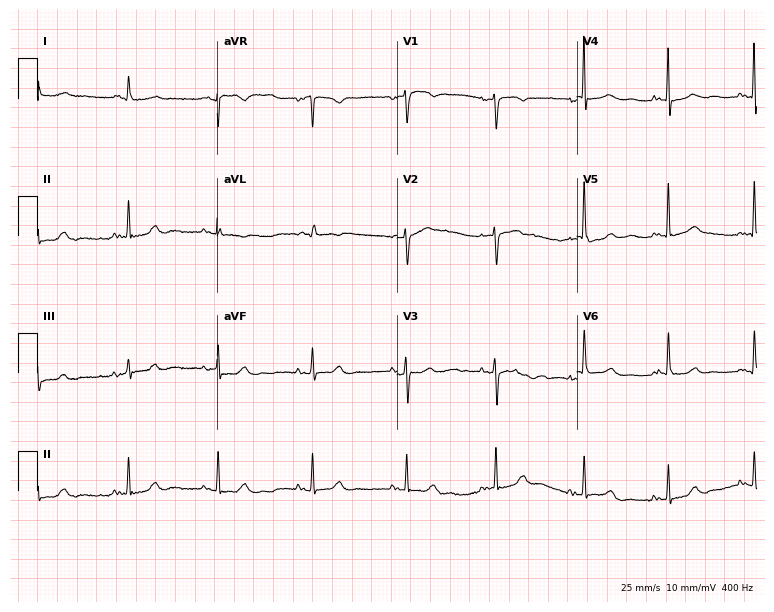
12-lead ECG from a woman, 82 years old. No first-degree AV block, right bundle branch block, left bundle branch block, sinus bradycardia, atrial fibrillation or sinus tachycardia recorded for this tracing.